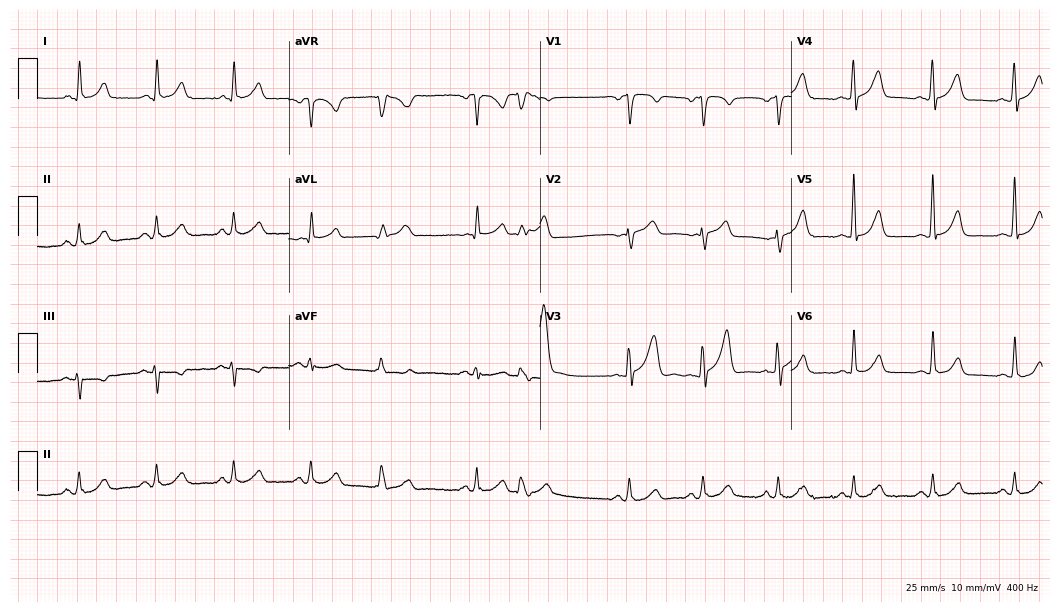
Resting 12-lead electrocardiogram (10.2-second recording at 400 Hz). Patient: a female, 54 years old. None of these six findings is recorded: first-degree AV block, right bundle branch block (RBBB), left bundle branch block (LBBB), sinus bradycardia, atrial fibrillation (AF), sinus tachycardia. Only these six findings were labelled.